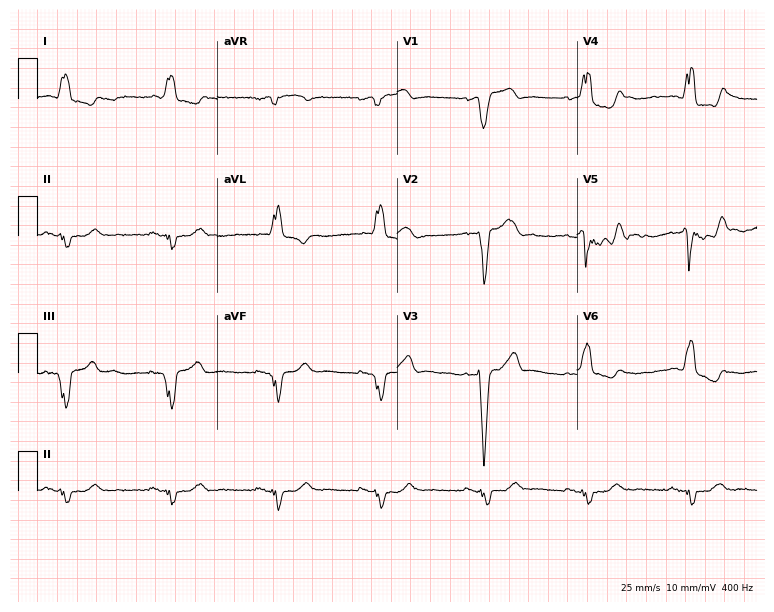
12-lead ECG from a man, 80 years old. Screened for six findings — first-degree AV block, right bundle branch block (RBBB), left bundle branch block (LBBB), sinus bradycardia, atrial fibrillation (AF), sinus tachycardia — none is recorded. Other findings, if any, are not listed.